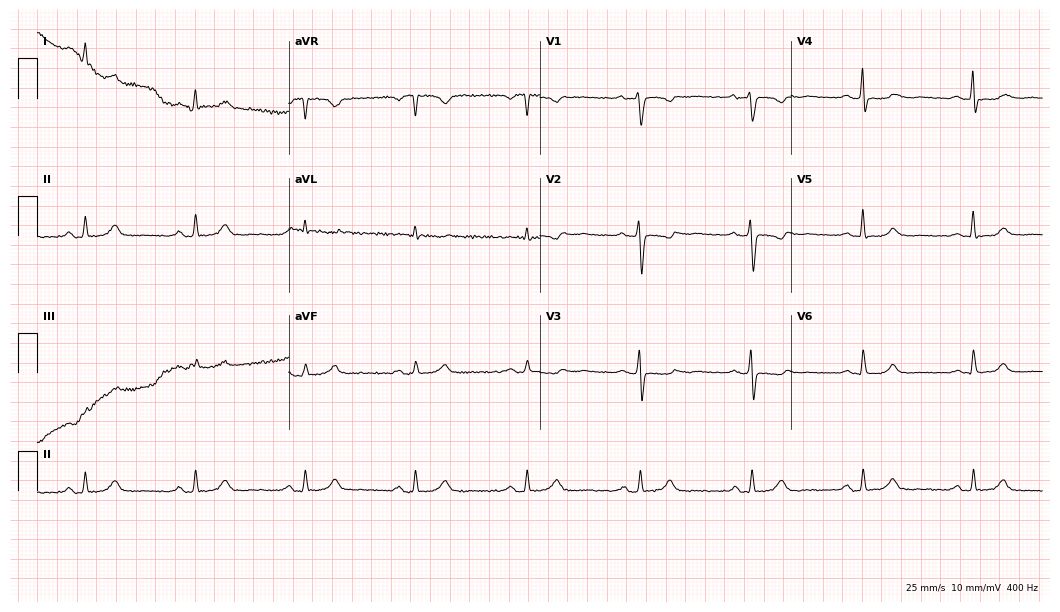
12-lead ECG from a 50-year-old female (10.2-second recording at 400 Hz). No first-degree AV block, right bundle branch block (RBBB), left bundle branch block (LBBB), sinus bradycardia, atrial fibrillation (AF) or sinus tachycardia recorded for this tracing. Findings outside these six are not listed.